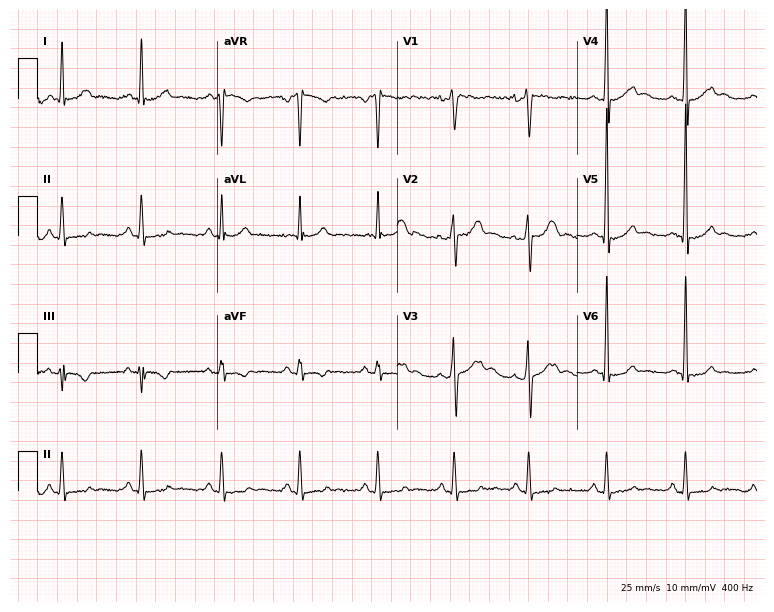
12-lead ECG from a male, 46 years old. No first-degree AV block, right bundle branch block (RBBB), left bundle branch block (LBBB), sinus bradycardia, atrial fibrillation (AF) or sinus tachycardia recorded for this tracing. Only these six findings were labelled.